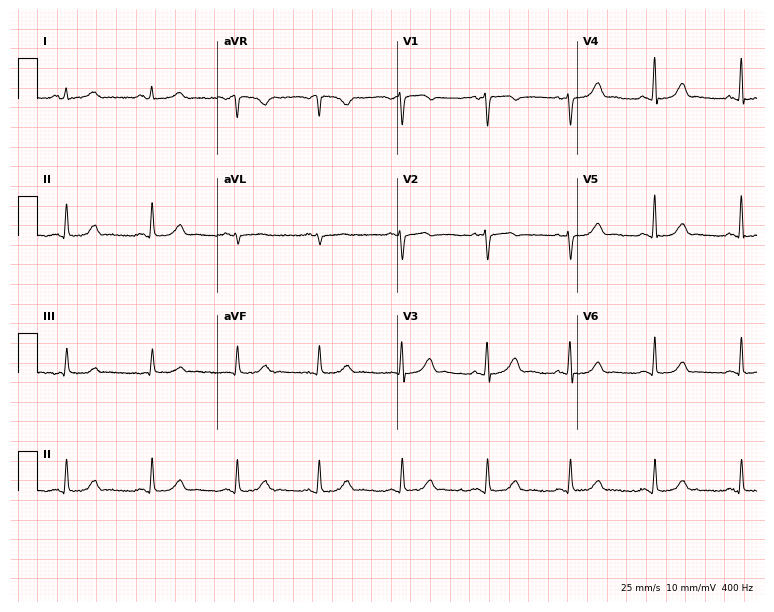
ECG (7.3-second recording at 400 Hz) — a 45-year-old female. Labelled as a normal ECG.